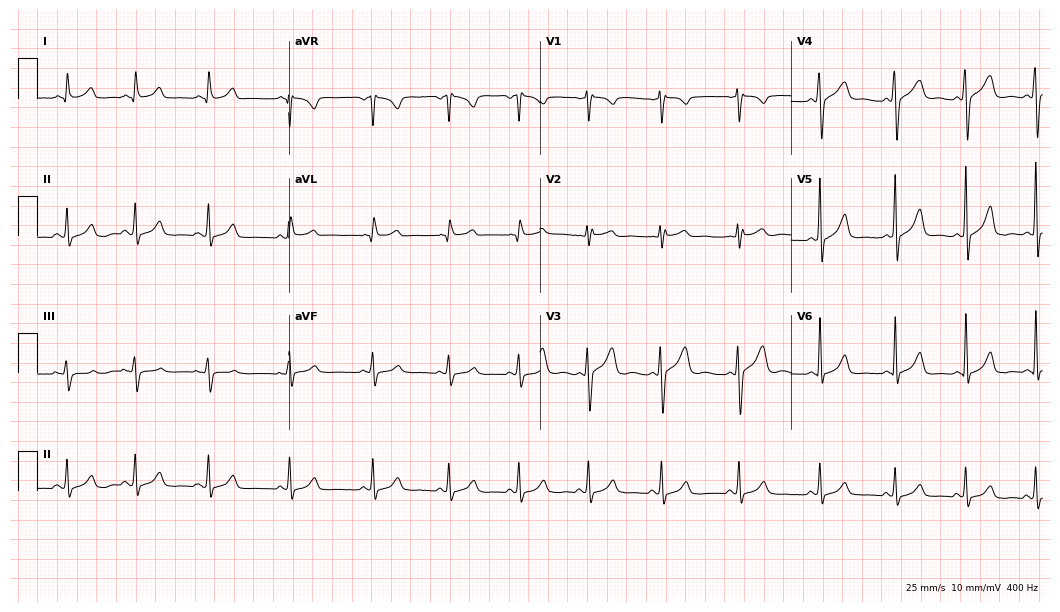
ECG — a 35-year-old woman. Labelled as a normal ECG.